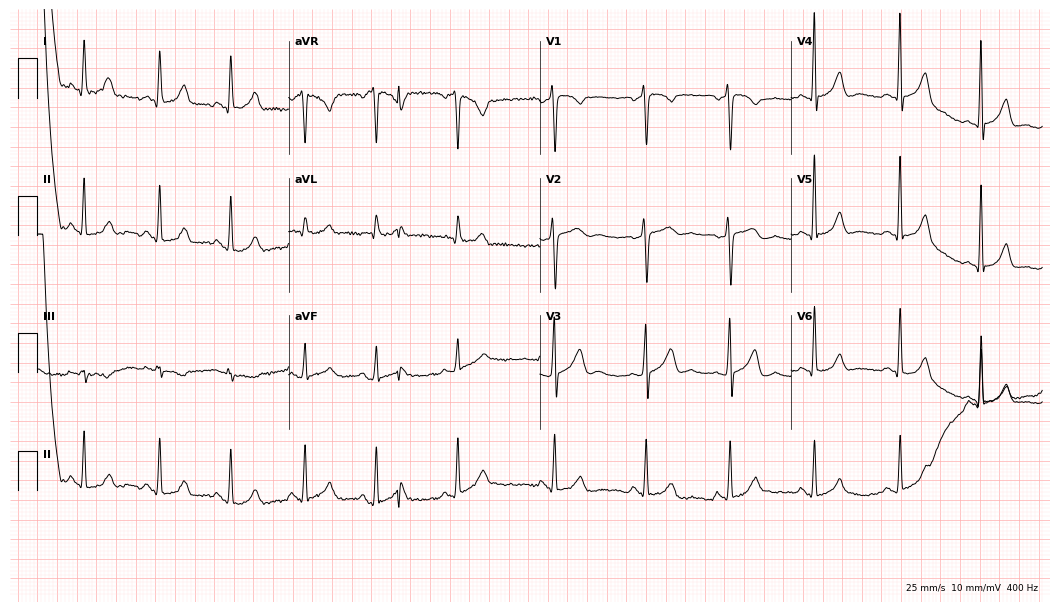
Electrocardiogram, a female, 37 years old. Overall reading on record: normal ECG.